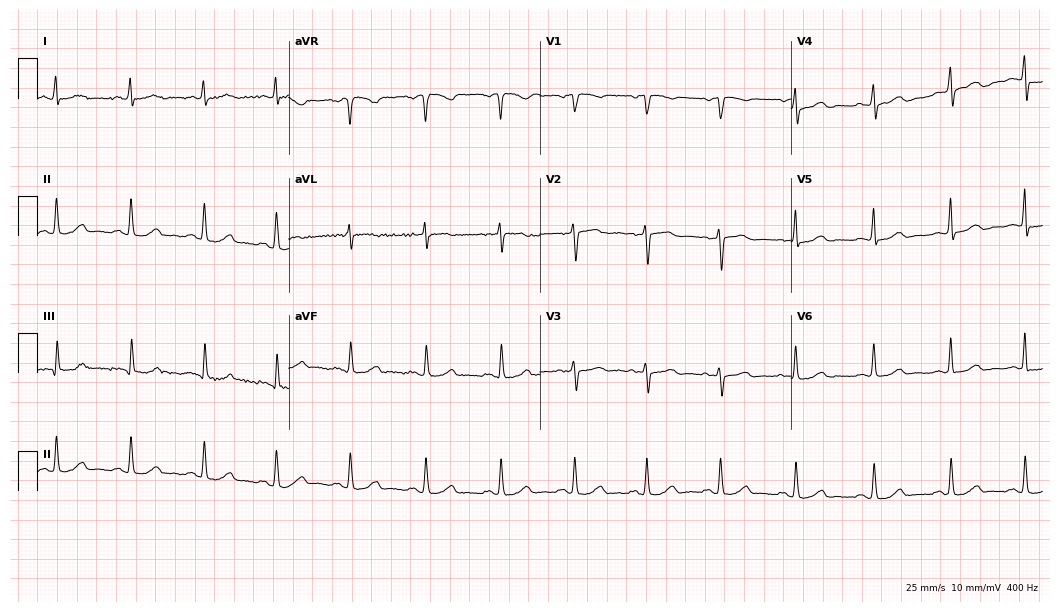
12-lead ECG from a female, 65 years old. Labelled as a normal ECG.